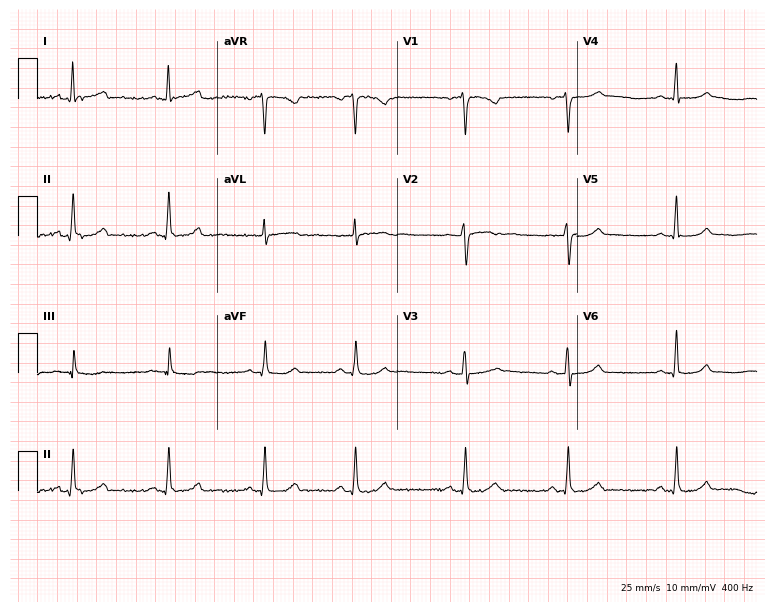
Resting 12-lead electrocardiogram (7.3-second recording at 400 Hz). Patient: a woman, 38 years old. Read as a normal ECG.